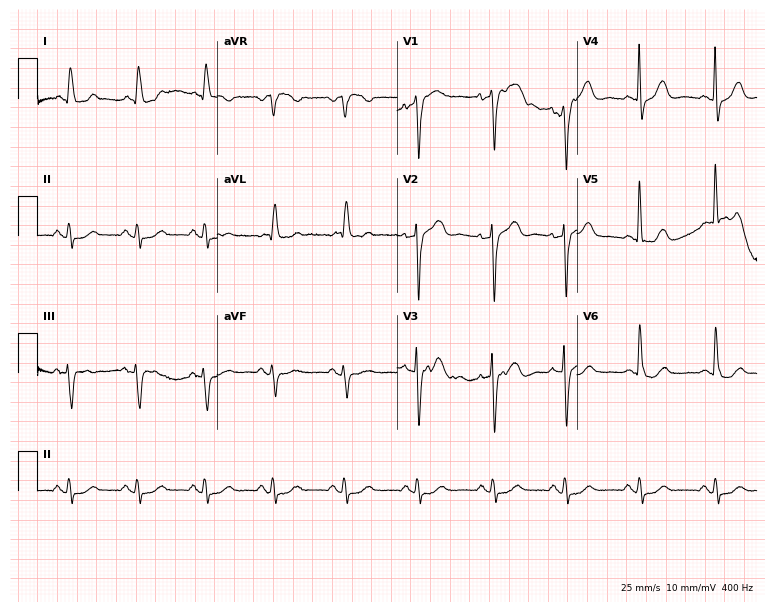
Electrocardiogram, a female patient, 82 years old. Of the six screened findings (first-degree AV block, right bundle branch block (RBBB), left bundle branch block (LBBB), sinus bradycardia, atrial fibrillation (AF), sinus tachycardia), none is recorded. Findings outside these six are not listed.